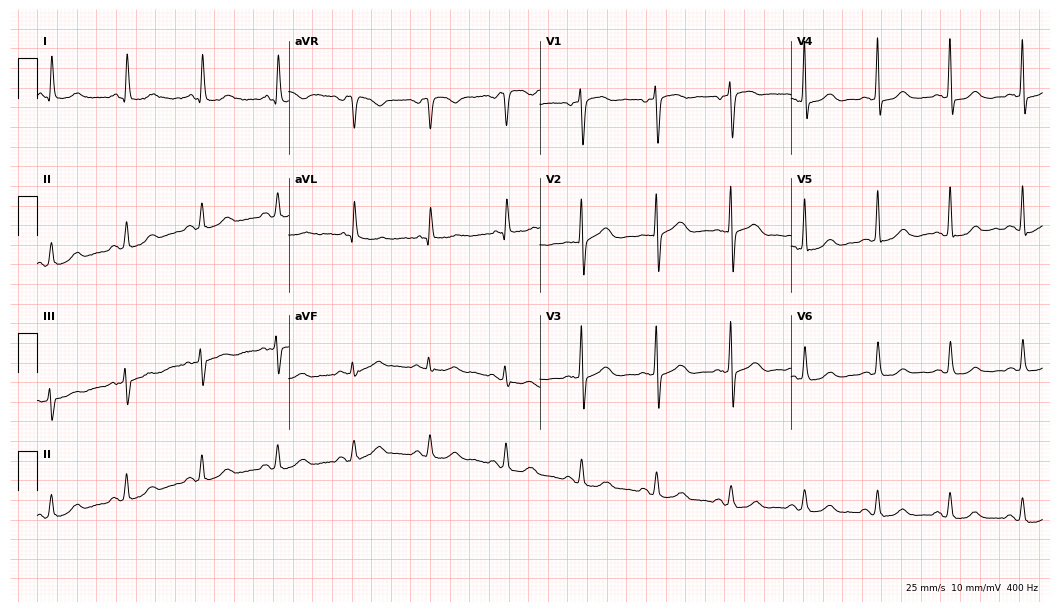
12-lead ECG from a 79-year-old man (10.2-second recording at 400 Hz). Recorded interpretation: within normal limits.